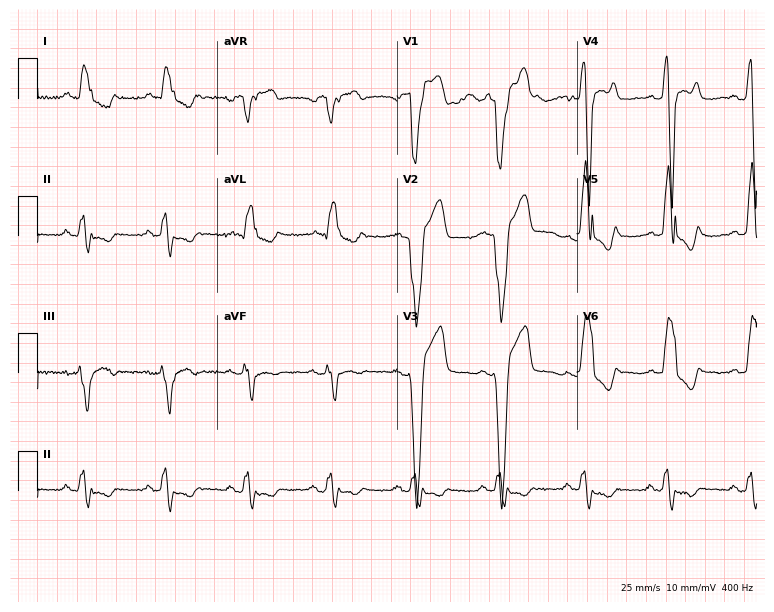
12-lead ECG (7.3-second recording at 400 Hz) from a male patient, 65 years old. Findings include left bundle branch block.